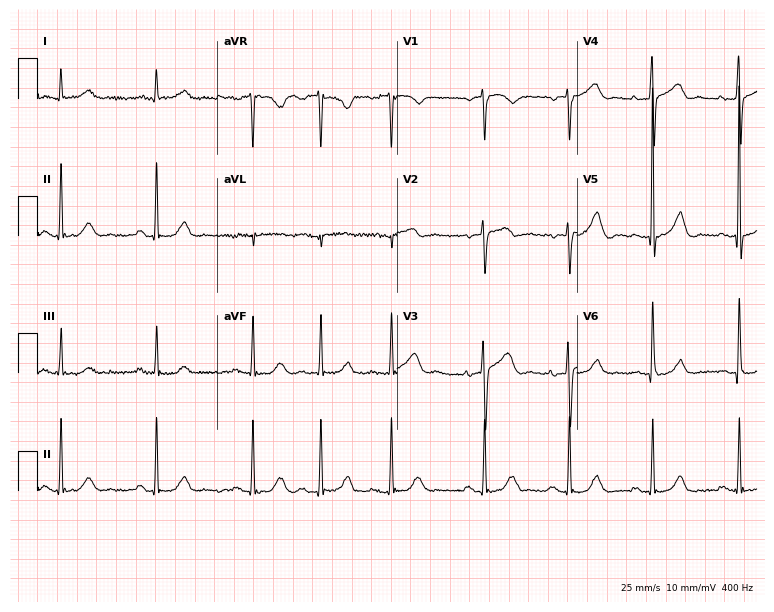
Electrocardiogram, a woman, 85 years old. Of the six screened findings (first-degree AV block, right bundle branch block, left bundle branch block, sinus bradycardia, atrial fibrillation, sinus tachycardia), none is recorded. Other findings, if any, are not listed.